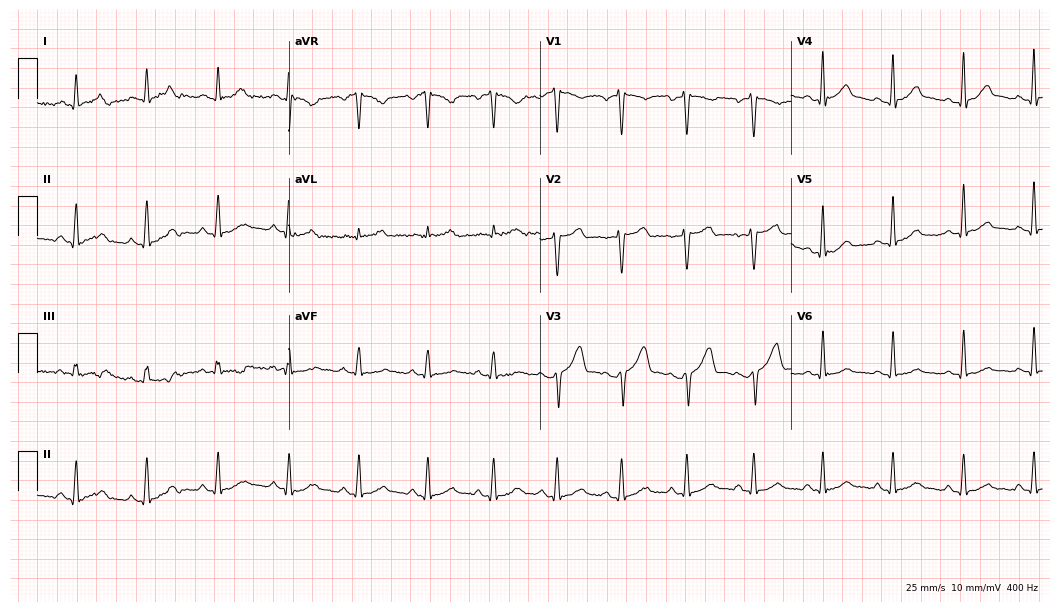
Electrocardiogram, a male, 46 years old. Of the six screened findings (first-degree AV block, right bundle branch block (RBBB), left bundle branch block (LBBB), sinus bradycardia, atrial fibrillation (AF), sinus tachycardia), none is recorded. Findings outside these six are not listed.